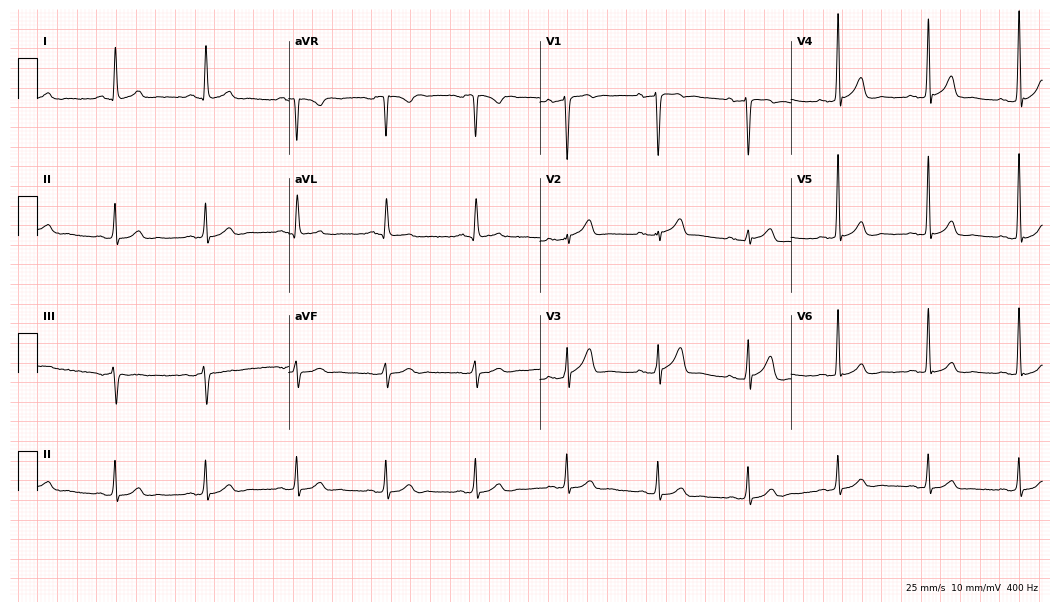
12-lead ECG from a 55-year-old man. Labelled as a normal ECG.